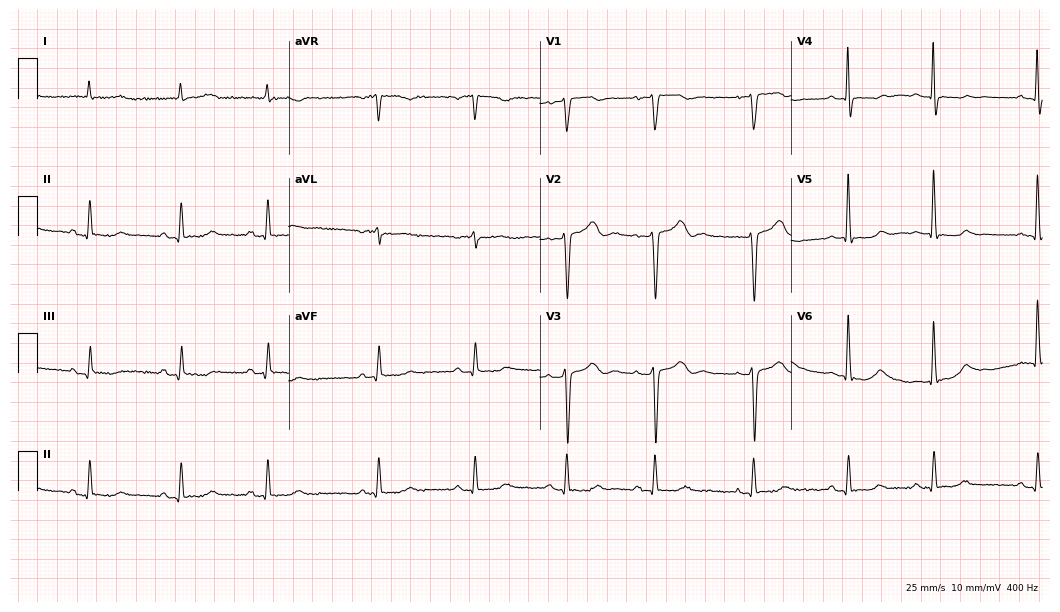
12-lead ECG (10.2-second recording at 400 Hz) from an 84-year-old female. Screened for six findings — first-degree AV block, right bundle branch block, left bundle branch block, sinus bradycardia, atrial fibrillation, sinus tachycardia — none is recorded.